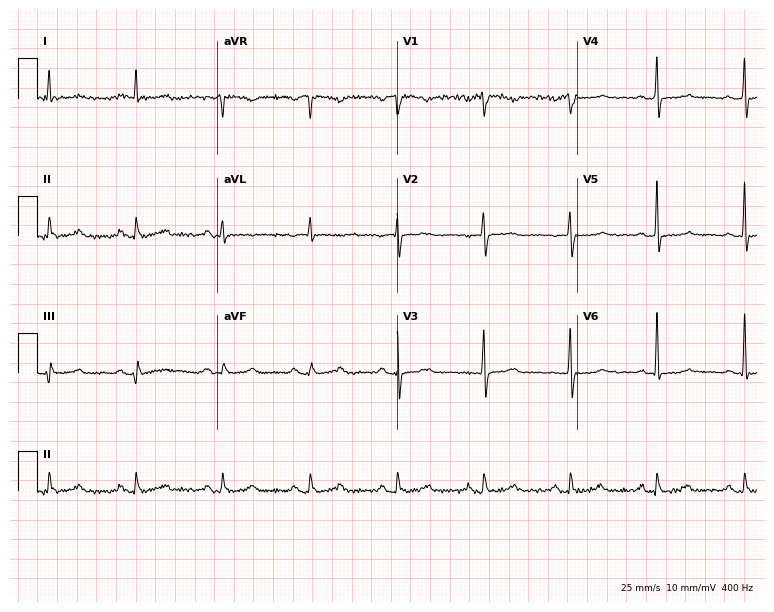
12-lead ECG from a female, 65 years old. Labelled as a normal ECG.